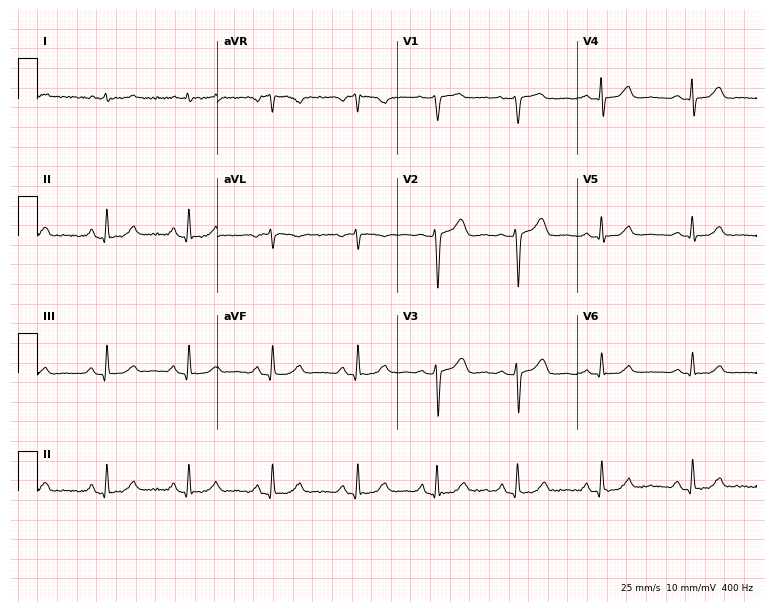
12-lead ECG from a female, 47 years old (7.3-second recording at 400 Hz). No first-degree AV block, right bundle branch block (RBBB), left bundle branch block (LBBB), sinus bradycardia, atrial fibrillation (AF) or sinus tachycardia recorded for this tracing.